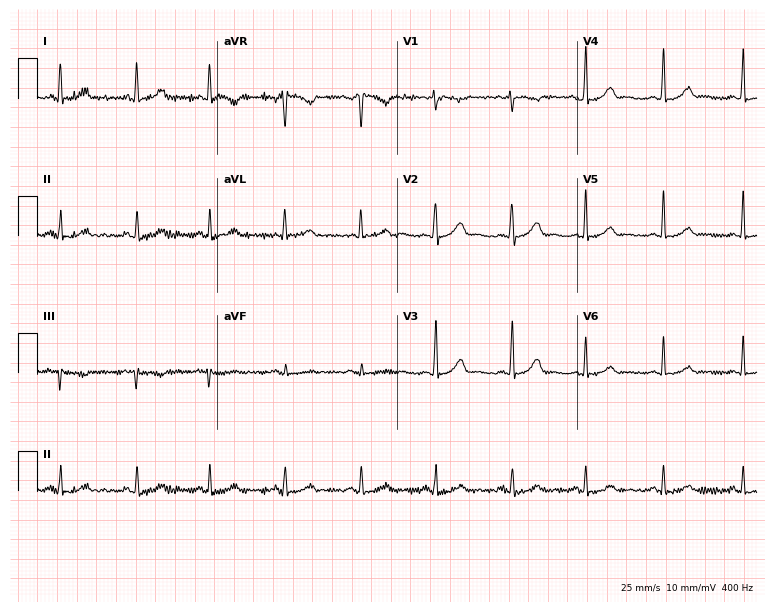
Resting 12-lead electrocardiogram. Patient: a female, 29 years old. Read as a normal ECG.